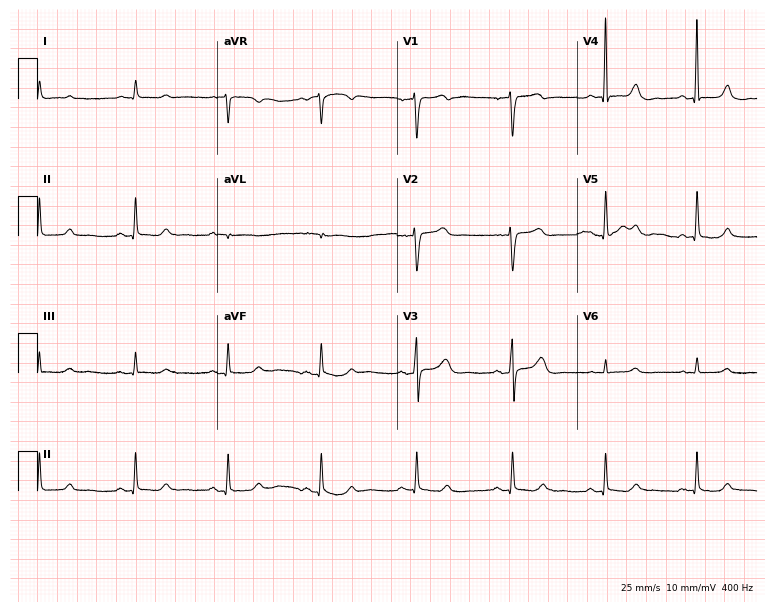
Standard 12-lead ECG recorded from a woman, 64 years old. Read as a normal ECG.